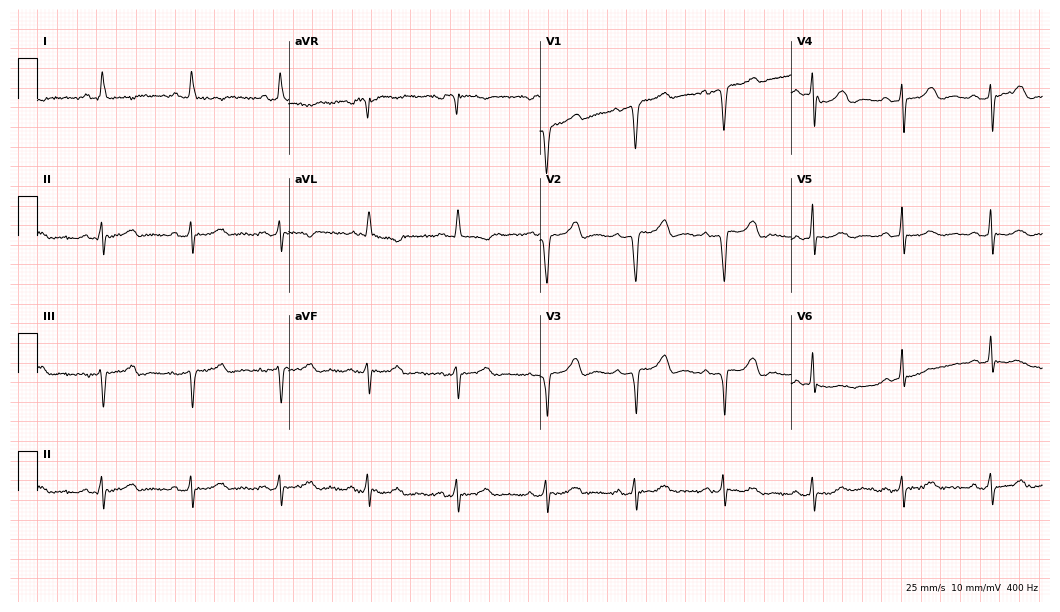
12-lead ECG (10.2-second recording at 400 Hz) from a 65-year-old female patient. Screened for six findings — first-degree AV block, right bundle branch block, left bundle branch block, sinus bradycardia, atrial fibrillation, sinus tachycardia — none is recorded. Only these six findings were labelled.